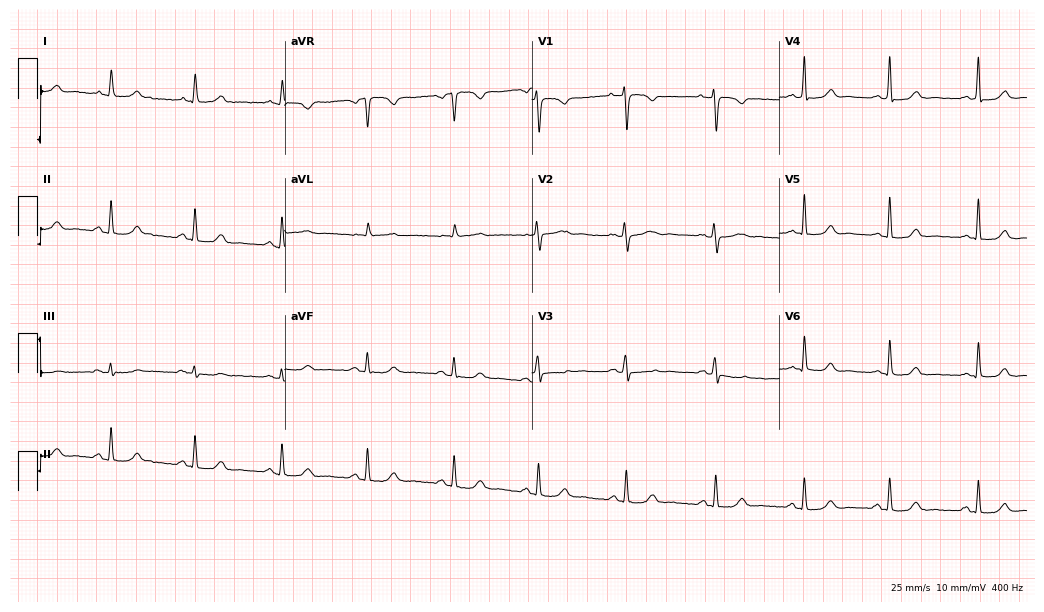
ECG (10.1-second recording at 400 Hz) — a 34-year-old female patient. Screened for six findings — first-degree AV block, right bundle branch block (RBBB), left bundle branch block (LBBB), sinus bradycardia, atrial fibrillation (AF), sinus tachycardia — none is recorded.